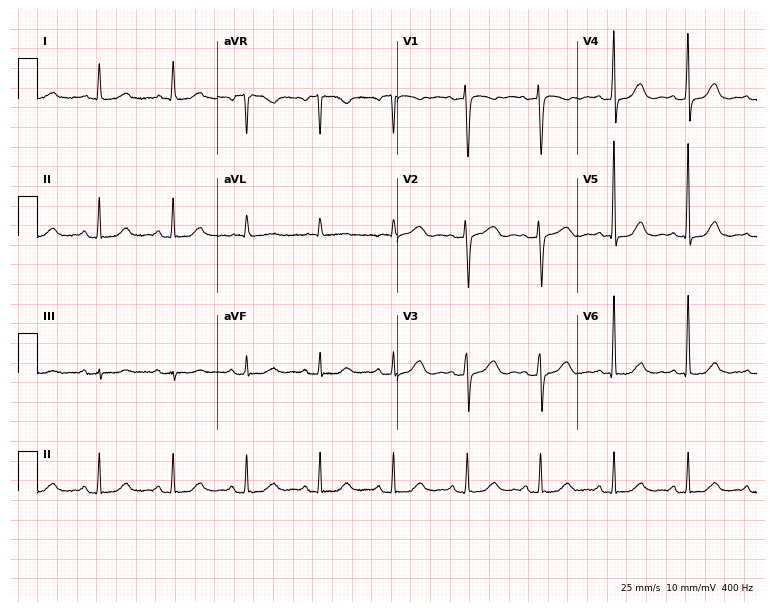
ECG — an 83-year-old woman. Screened for six findings — first-degree AV block, right bundle branch block (RBBB), left bundle branch block (LBBB), sinus bradycardia, atrial fibrillation (AF), sinus tachycardia — none is recorded.